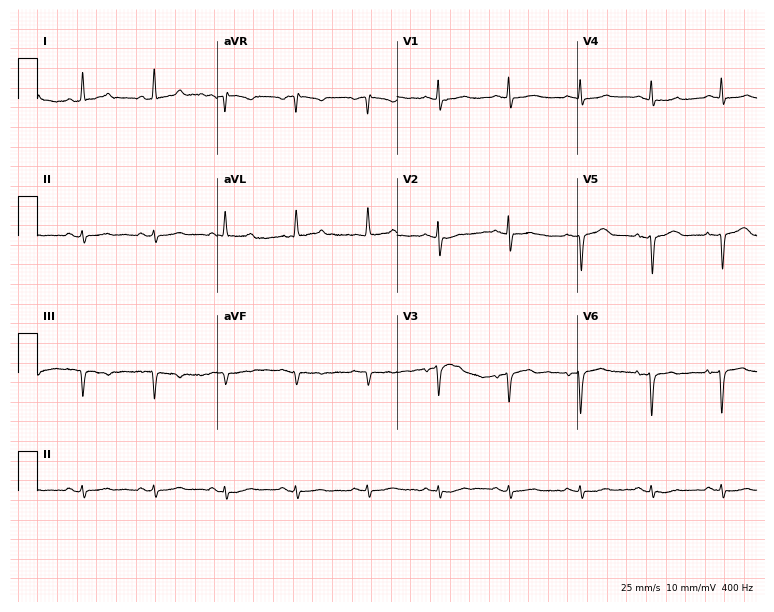
Standard 12-lead ECG recorded from a female patient, 82 years old. None of these six findings is recorded: first-degree AV block, right bundle branch block (RBBB), left bundle branch block (LBBB), sinus bradycardia, atrial fibrillation (AF), sinus tachycardia. Only these six findings were labelled.